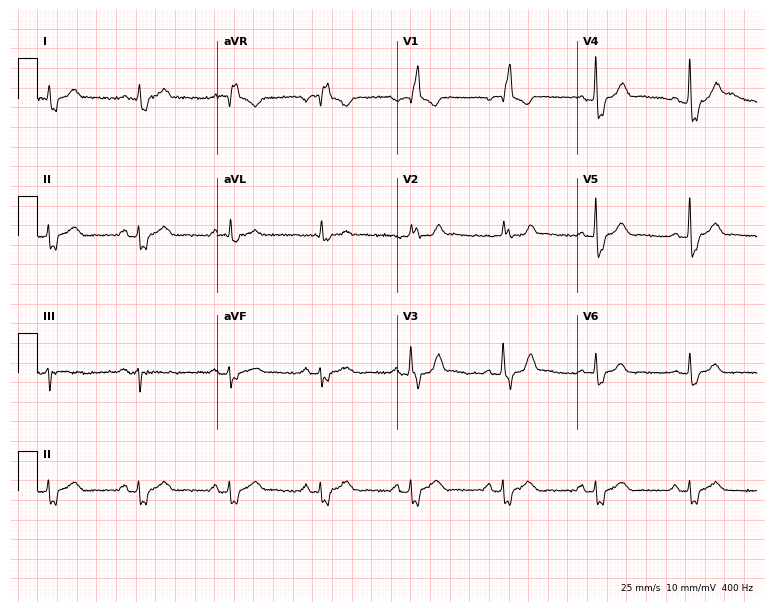
Standard 12-lead ECG recorded from a man, 67 years old (7.3-second recording at 400 Hz). The tracing shows right bundle branch block.